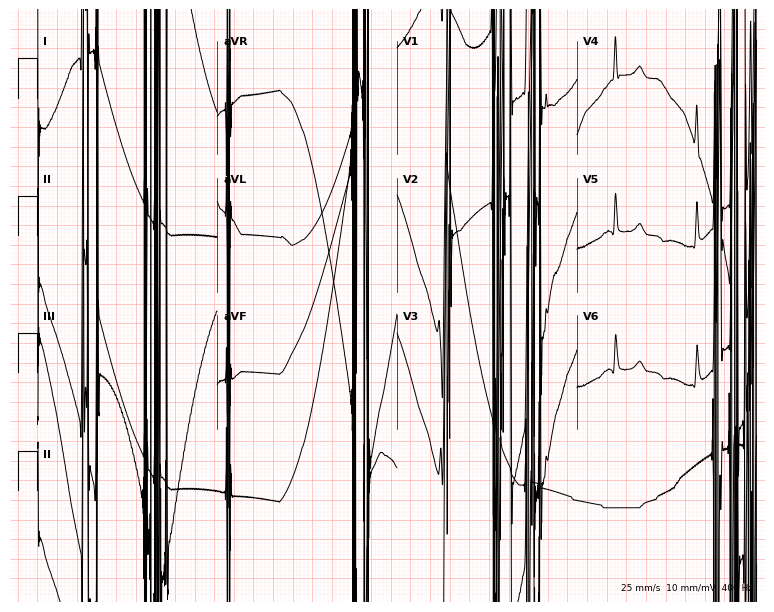
12-lead ECG from a female patient, 35 years old. Screened for six findings — first-degree AV block, right bundle branch block, left bundle branch block, sinus bradycardia, atrial fibrillation, sinus tachycardia — none is recorded. Other findings, if any, are not listed.